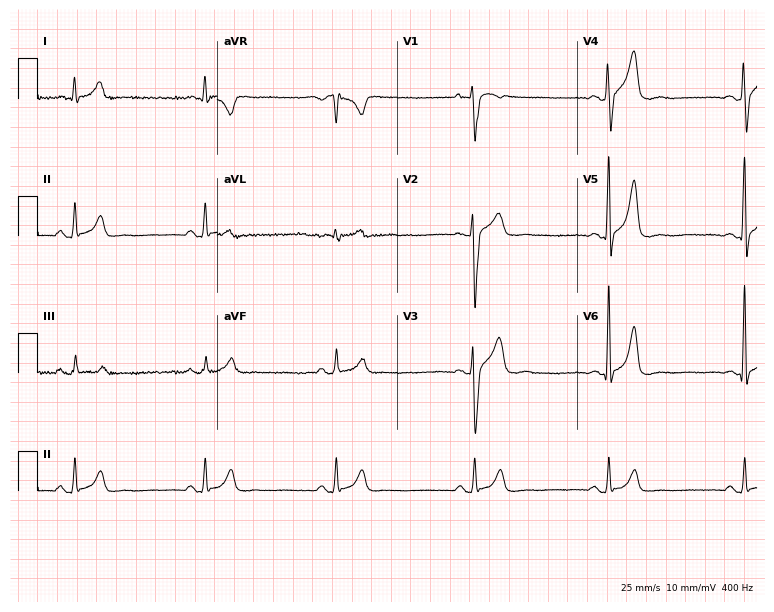
Electrocardiogram (7.3-second recording at 400 Hz), a male, 27 years old. Interpretation includes sinus bradycardia (a sinus rate of 50 beats per minute or less).